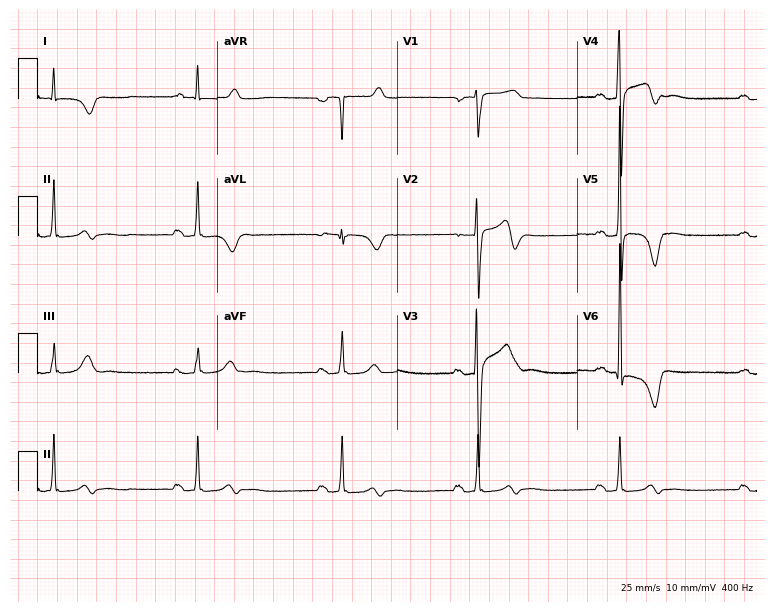
Resting 12-lead electrocardiogram (7.3-second recording at 400 Hz). Patient: a man, 53 years old. The tracing shows first-degree AV block, sinus bradycardia (a sinus rate of 50 beats per minute or less).